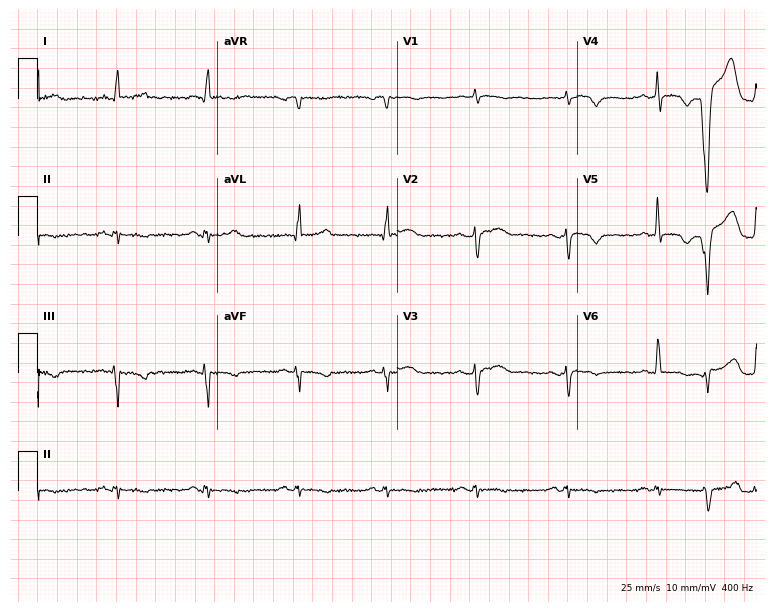
Resting 12-lead electrocardiogram (7.3-second recording at 400 Hz). Patient: a male, 34 years old. None of these six findings is recorded: first-degree AV block, right bundle branch block, left bundle branch block, sinus bradycardia, atrial fibrillation, sinus tachycardia.